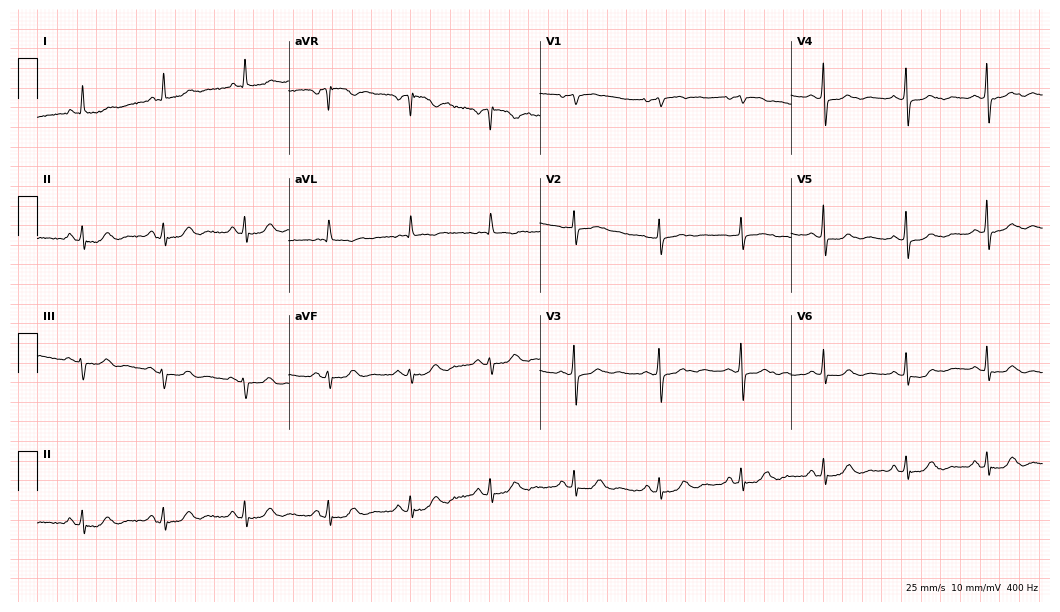
Resting 12-lead electrocardiogram. Patient: a 72-year-old woman. None of these six findings is recorded: first-degree AV block, right bundle branch block, left bundle branch block, sinus bradycardia, atrial fibrillation, sinus tachycardia. Findings outside these six are not listed.